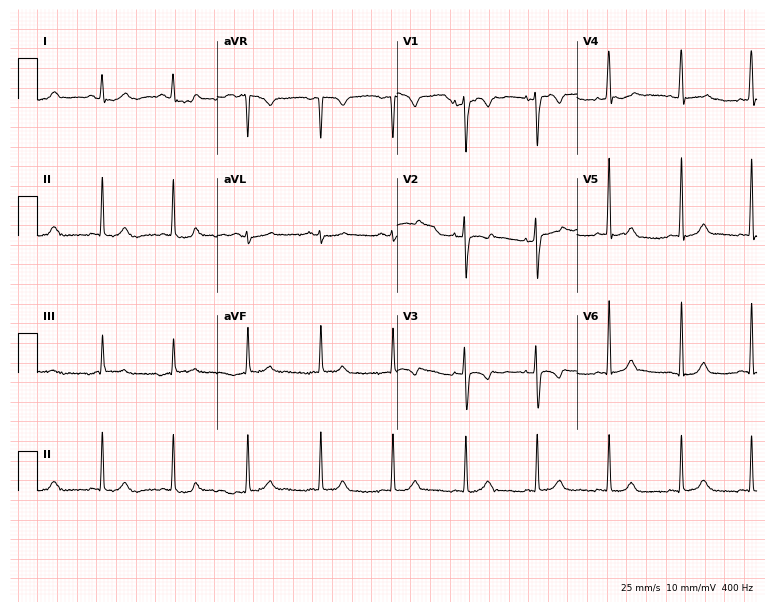
ECG — an 18-year-old female patient. Screened for six findings — first-degree AV block, right bundle branch block, left bundle branch block, sinus bradycardia, atrial fibrillation, sinus tachycardia — none is recorded. Other findings, if any, are not listed.